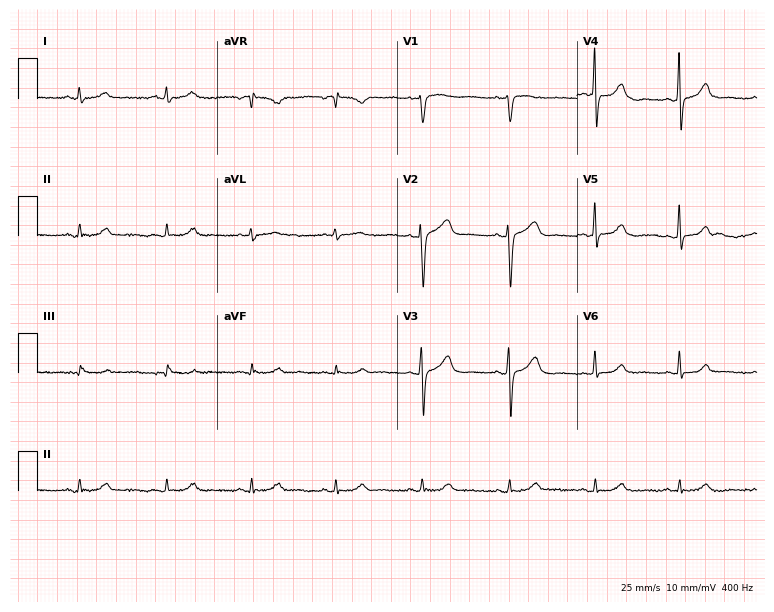
12-lead ECG from a female, 62 years old. Screened for six findings — first-degree AV block, right bundle branch block, left bundle branch block, sinus bradycardia, atrial fibrillation, sinus tachycardia — none is recorded. Only these six findings were labelled.